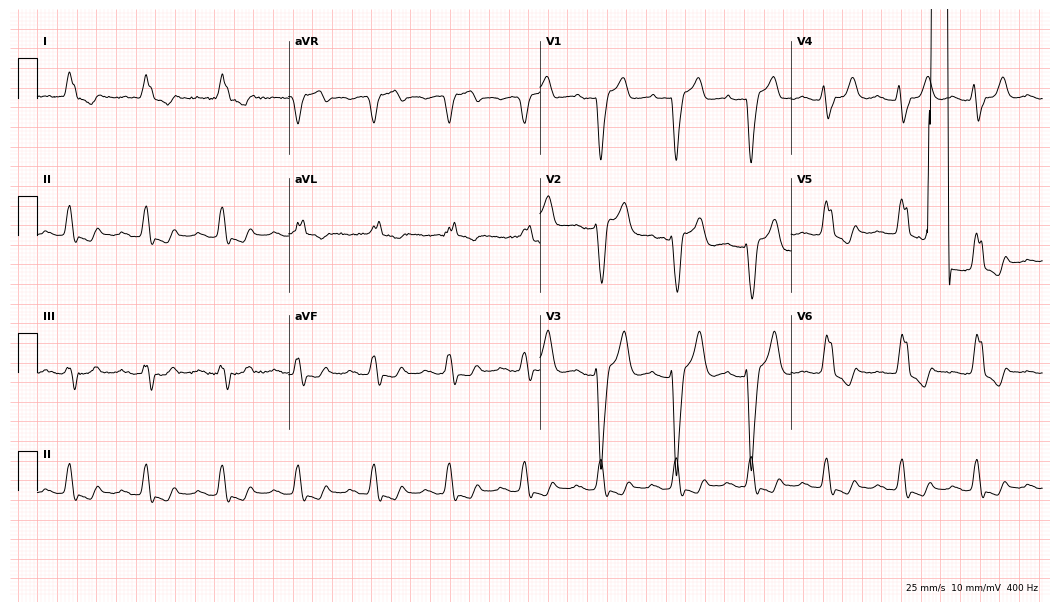
Electrocardiogram (10.2-second recording at 400 Hz), an 83-year-old female patient. Interpretation includes first-degree AV block, left bundle branch block.